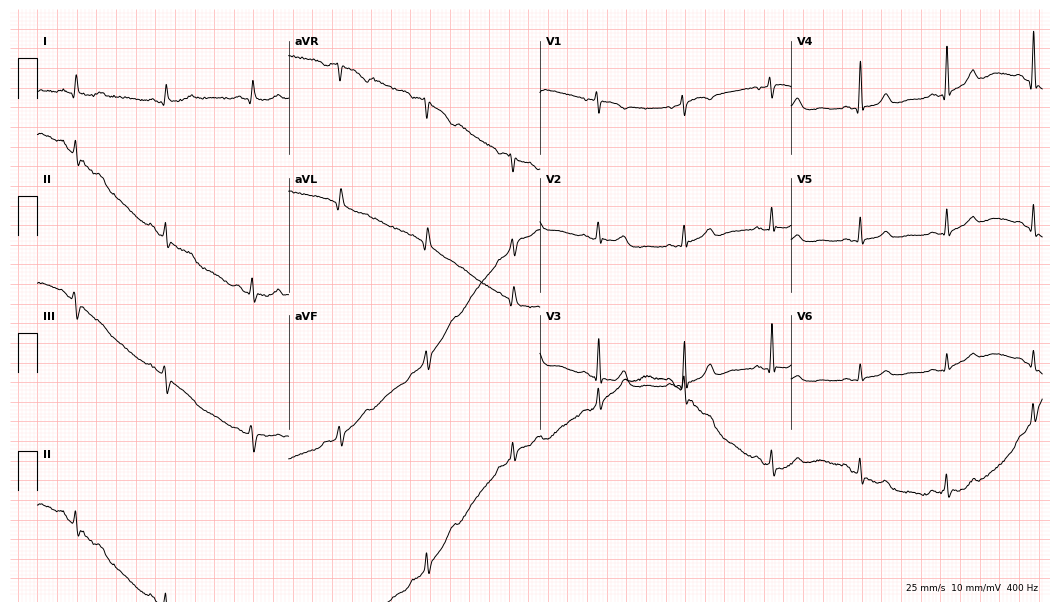
Standard 12-lead ECG recorded from a woman, 77 years old (10.2-second recording at 400 Hz). None of these six findings is recorded: first-degree AV block, right bundle branch block (RBBB), left bundle branch block (LBBB), sinus bradycardia, atrial fibrillation (AF), sinus tachycardia.